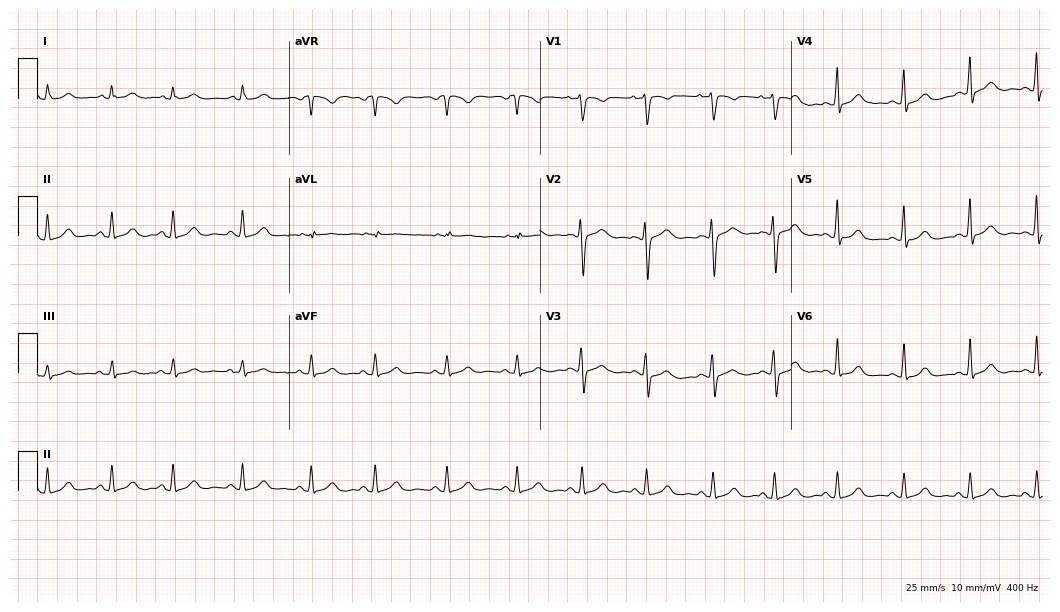
Resting 12-lead electrocardiogram (10.2-second recording at 400 Hz). Patient: a female, 24 years old. Read as a normal ECG.